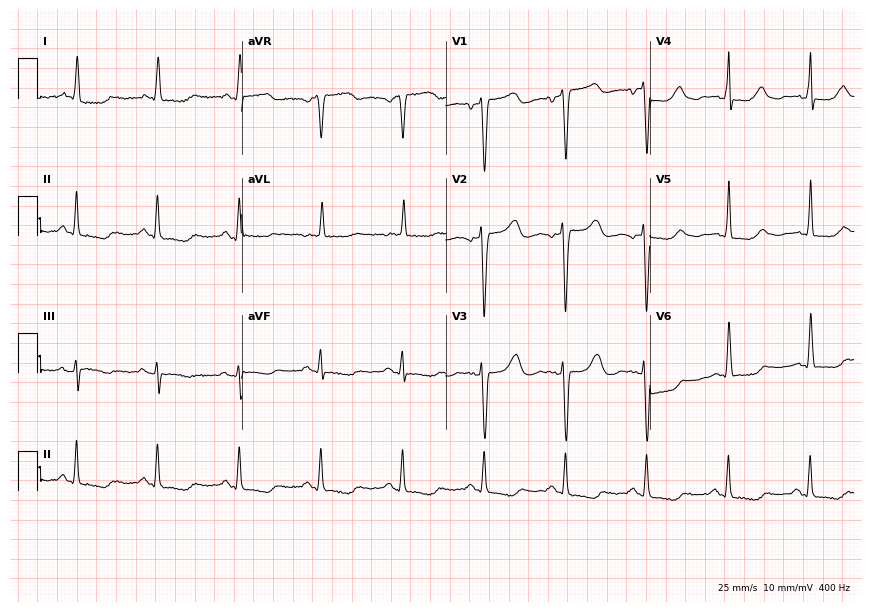
ECG (8.3-second recording at 400 Hz) — a 59-year-old female. Screened for six findings — first-degree AV block, right bundle branch block, left bundle branch block, sinus bradycardia, atrial fibrillation, sinus tachycardia — none is recorded. Only these six findings were labelled.